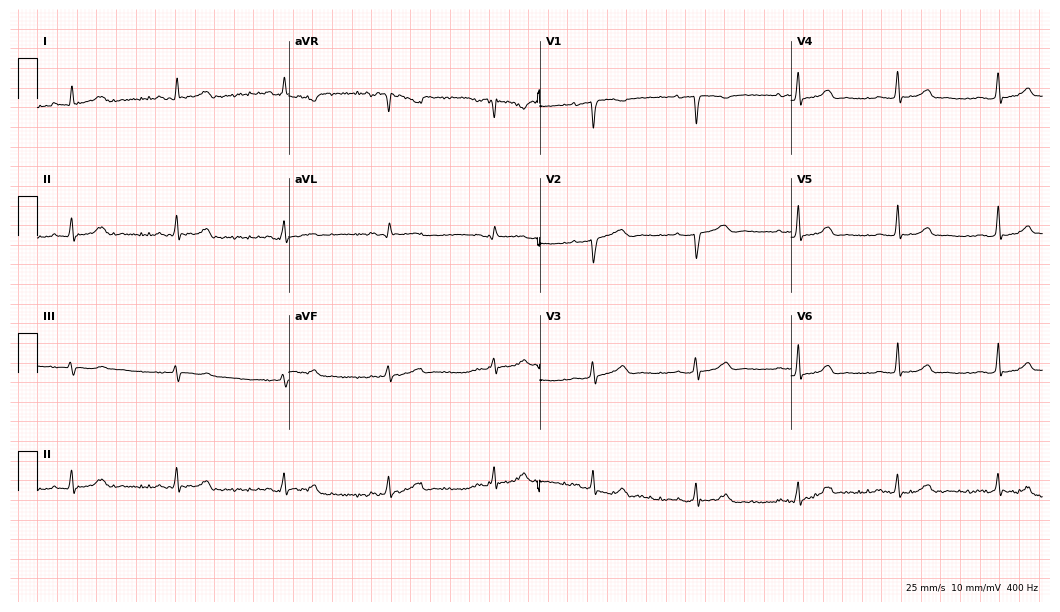
12-lead ECG (10.2-second recording at 400 Hz) from a female, 29 years old. Labelled as a normal ECG.